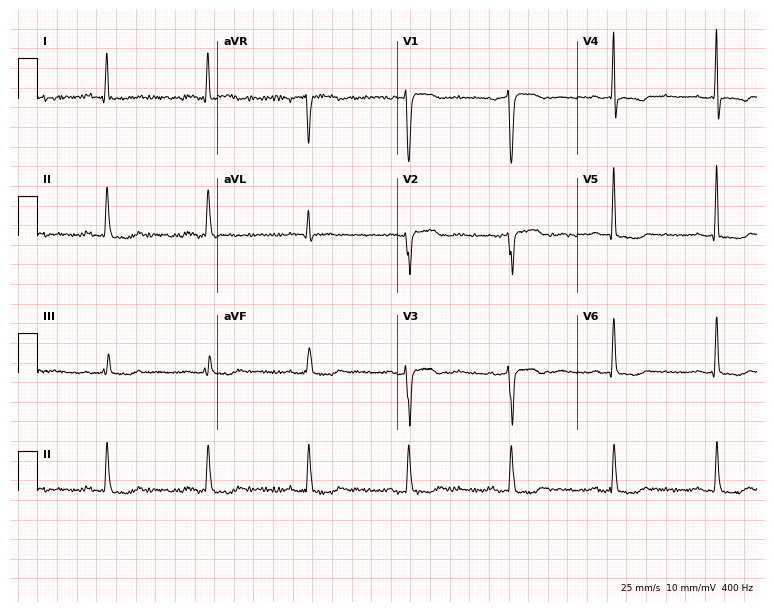
12-lead ECG from a 49-year-old woman. No first-degree AV block, right bundle branch block, left bundle branch block, sinus bradycardia, atrial fibrillation or sinus tachycardia recorded for this tracing.